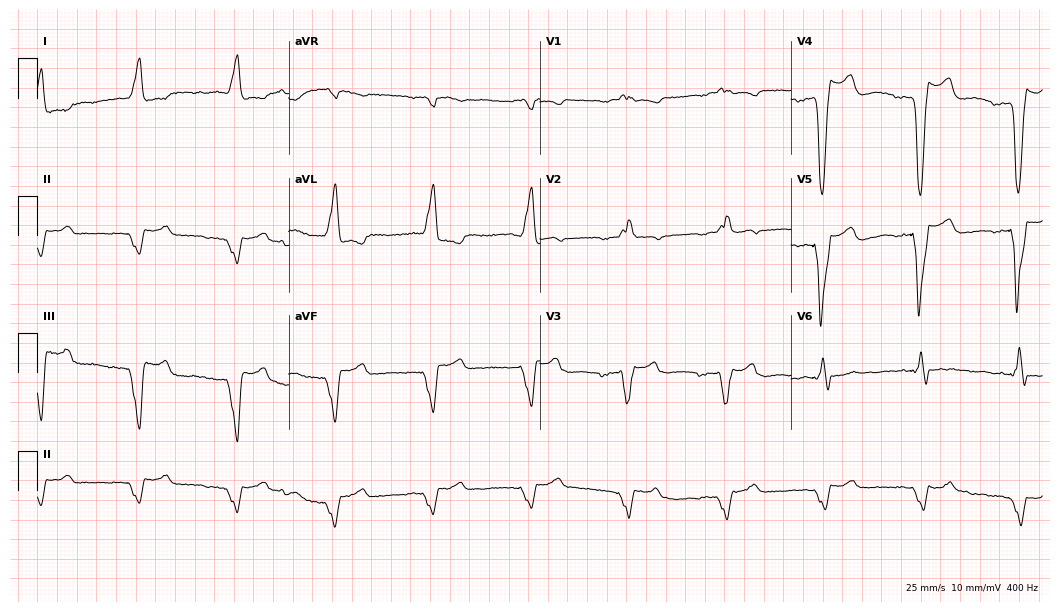
12-lead ECG from a 63-year-old male patient. No first-degree AV block, right bundle branch block, left bundle branch block, sinus bradycardia, atrial fibrillation or sinus tachycardia recorded for this tracing. Findings outside these six are not listed.